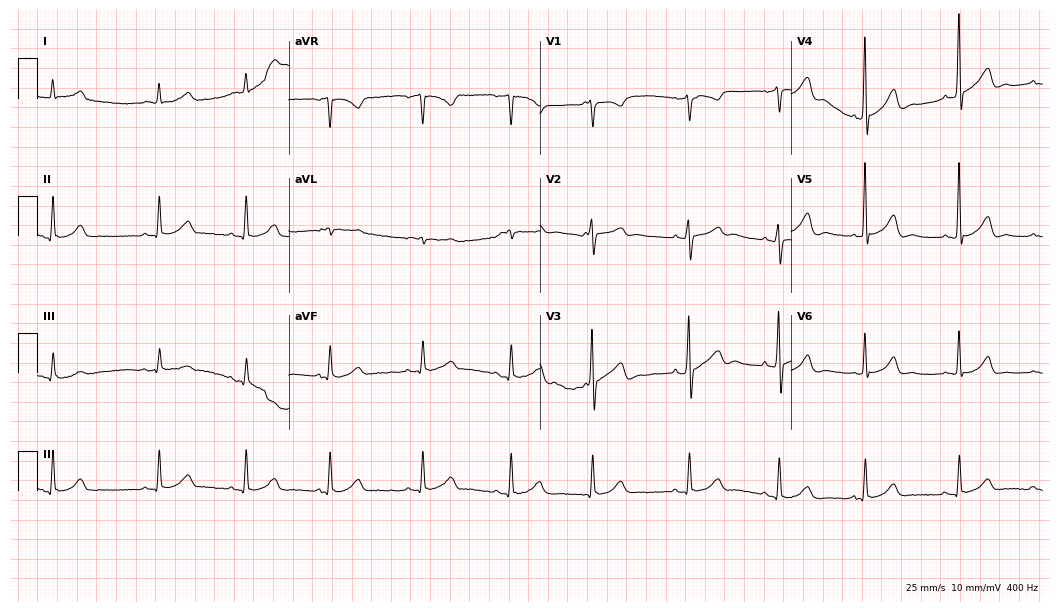
Standard 12-lead ECG recorded from a male, 81 years old (10.2-second recording at 400 Hz). None of these six findings is recorded: first-degree AV block, right bundle branch block, left bundle branch block, sinus bradycardia, atrial fibrillation, sinus tachycardia. Other findings, if any, are not listed.